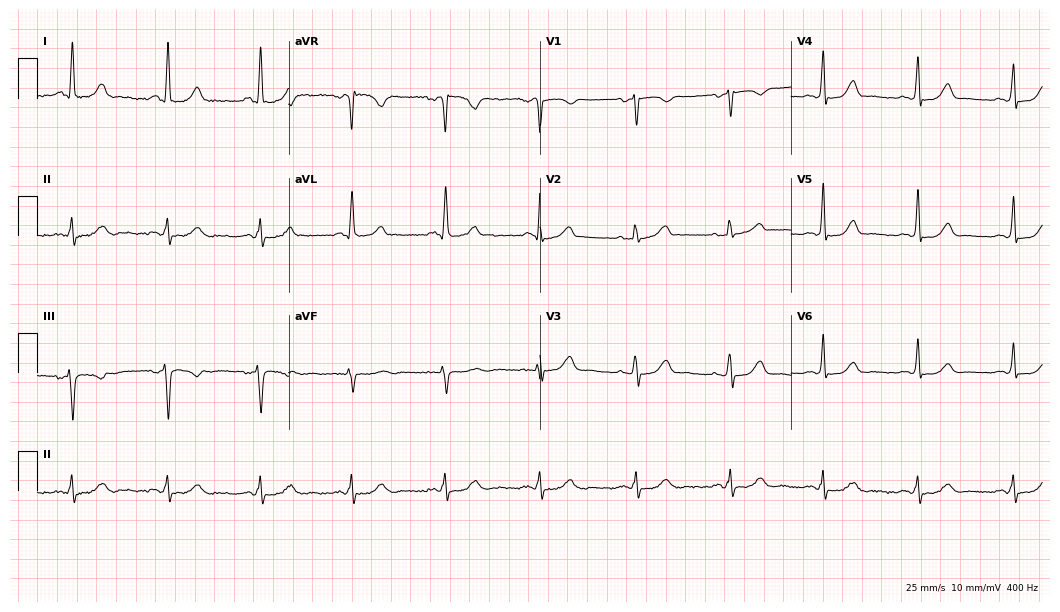
Electrocardiogram (10.2-second recording at 400 Hz), a woman, 62 years old. Overall reading on record: normal ECG.